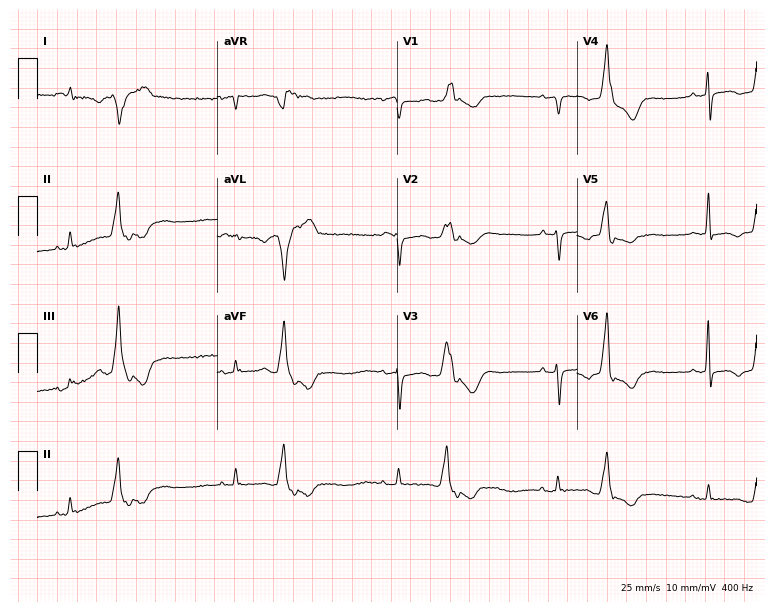
Standard 12-lead ECG recorded from a 73-year-old woman. None of these six findings is recorded: first-degree AV block, right bundle branch block, left bundle branch block, sinus bradycardia, atrial fibrillation, sinus tachycardia.